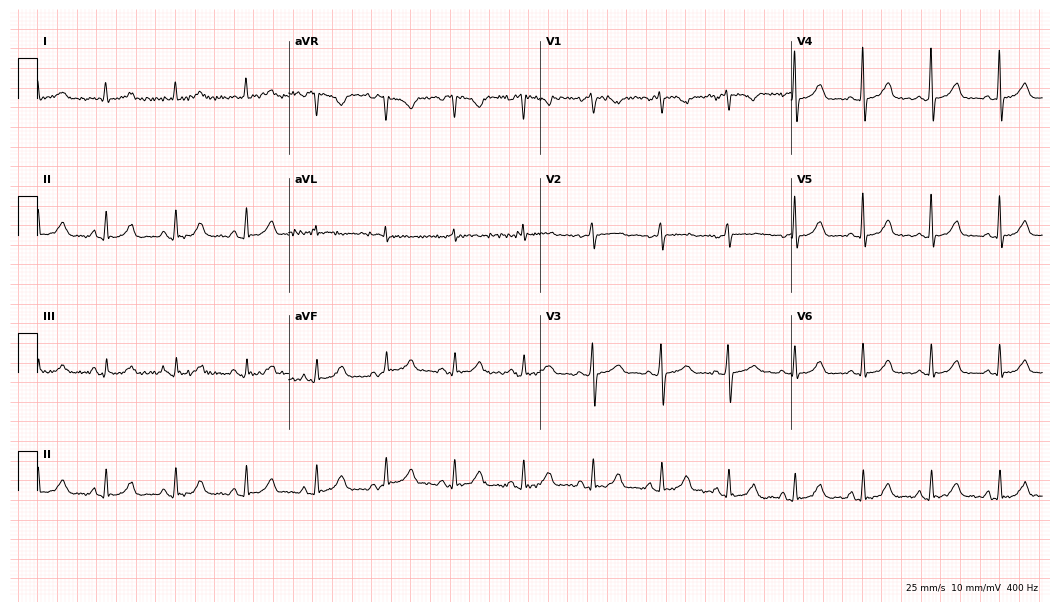
Resting 12-lead electrocardiogram. Patient: a male, 62 years old. Read as a normal ECG.